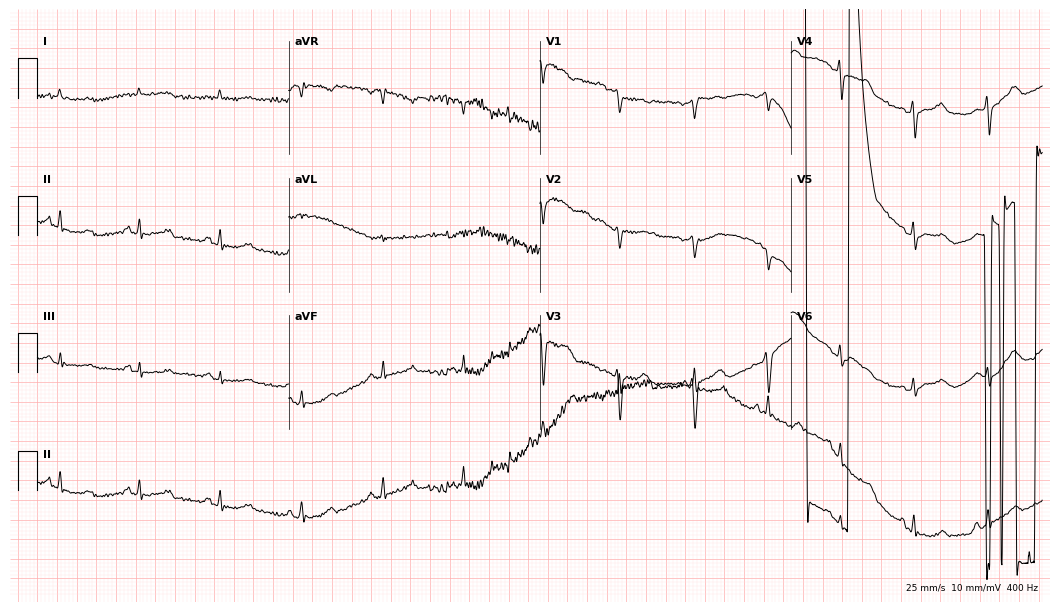
12-lead ECG from a female patient, 47 years old. Screened for six findings — first-degree AV block, right bundle branch block, left bundle branch block, sinus bradycardia, atrial fibrillation, sinus tachycardia — none is recorded.